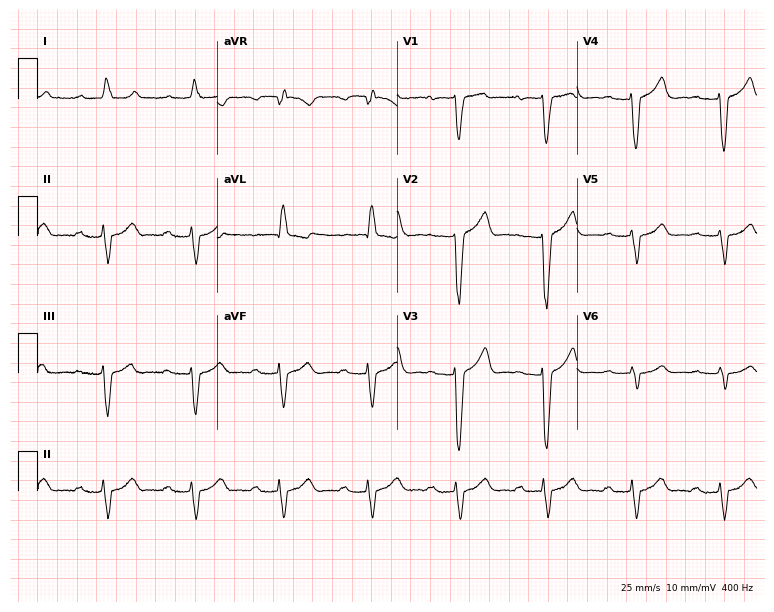
12-lead ECG from a woman, 83 years old. No first-degree AV block, right bundle branch block, left bundle branch block, sinus bradycardia, atrial fibrillation or sinus tachycardia recorded for this tracing. Other findings, if any, are not listed.